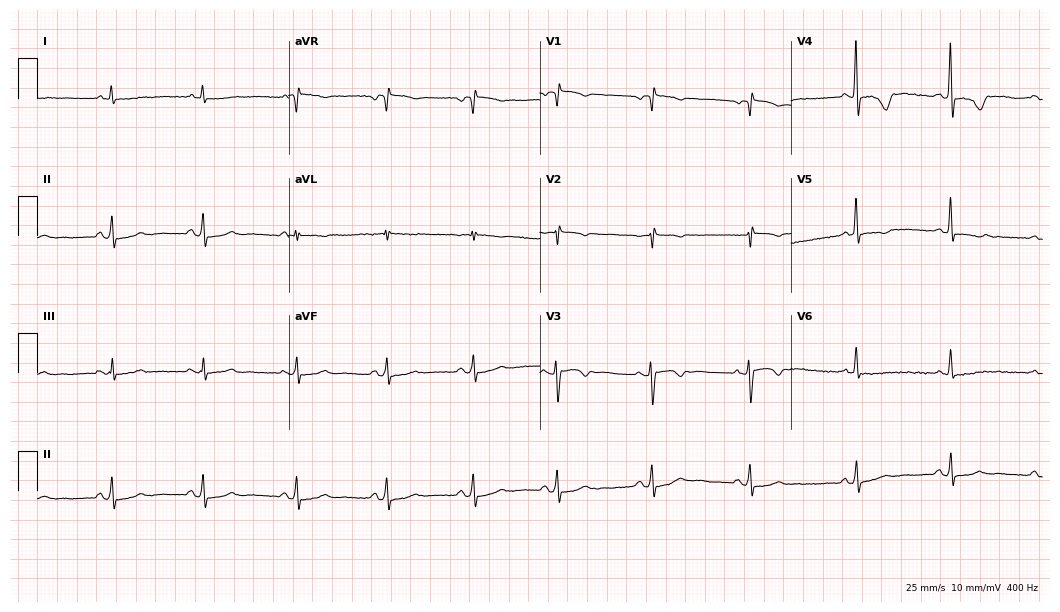
Resting 12-lead electrocardiogram. Patient: a 64-year-old female. None of these six findings is recorded: first-degree AV block, right bundle branch block, left bundle branch block, sinus bradycardia, atrial fibrillation, sinus tachycardia. Findings outside these six are not listed.